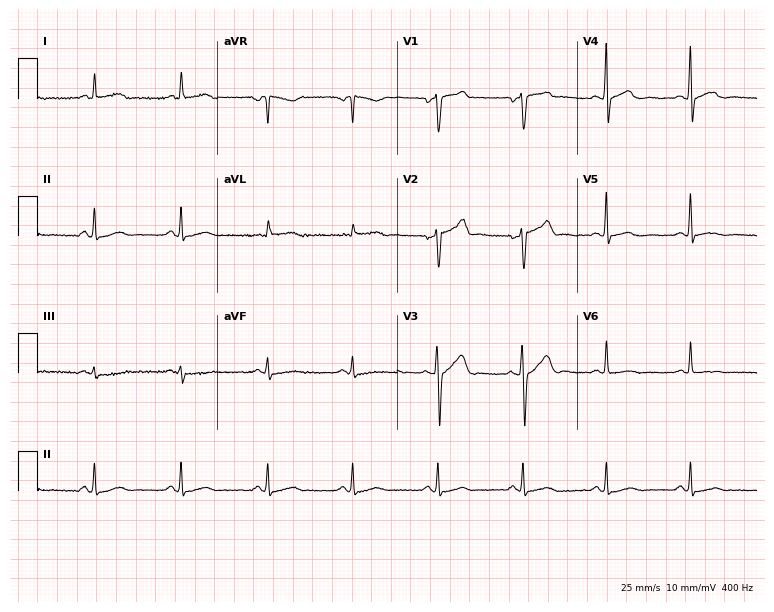
Standard 12-lead ECG recorded from a 45-year-old male. None of these six findings is recorded: first-degree AV block, right bundle branch block, left bundle branch block, sinus bradycardia, atrial fibrillation, sinus tachycardia.